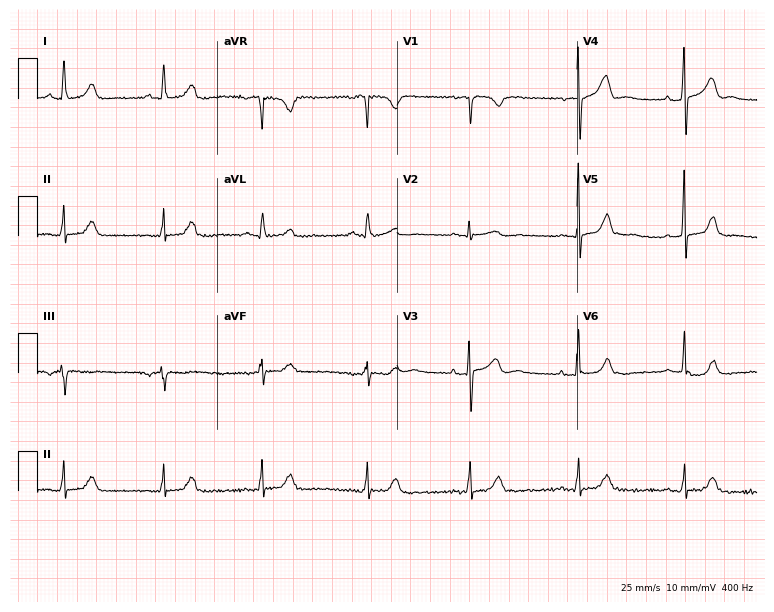
12-lead ECG from a woman, 54 years old (7.3-second recording at 400 Hz). No first-degree AV block, right bundle branch block, left bundle branch block, sinus bradycardia, atrial fibrillation or sinus tachycardia recorded for this tracing.